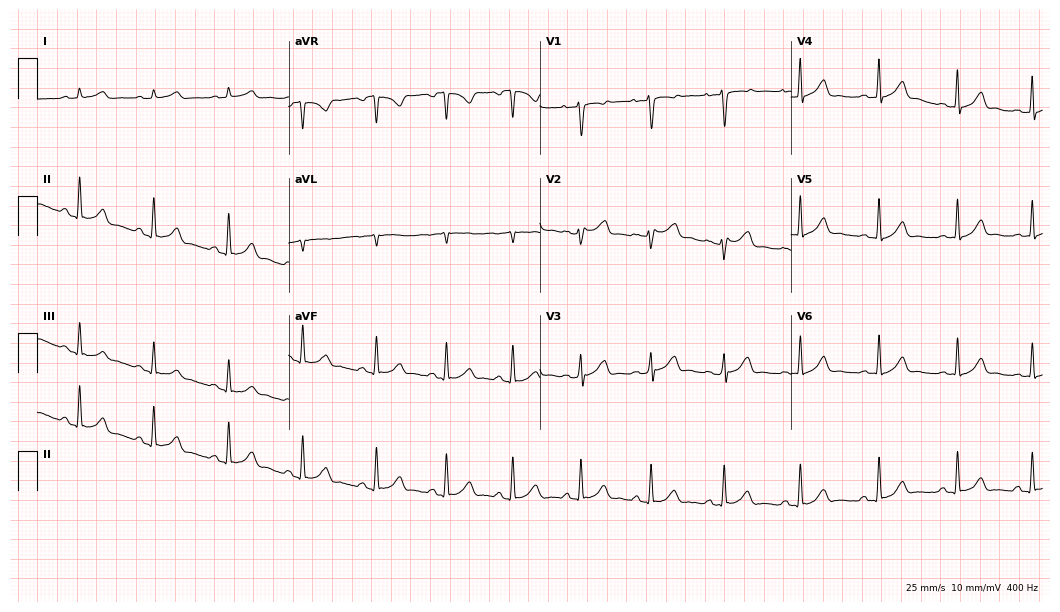
Resting 12-lead electrocardiogram. Patient: a female, 32 years old. None of these six findings is recorded: first-degree AV block, right bundle branch block, left bundle branch block, sinus bradycardia, atrial fibrillation, sinus tachycardia.